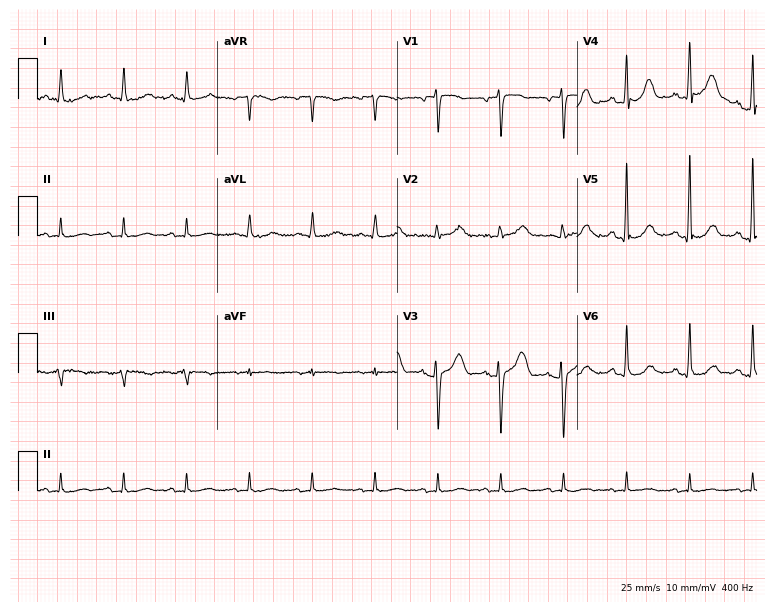
ECG (7.3-second recording at 400 Hz) — a female, 76 years old. Screened for six findings — first-degree AV block, right bundle branch block (RBBB), left bundle branch block (LBBB), sinus bradycardia, atrial fibrillation (AF), sinus tachycardia — none is recorded.